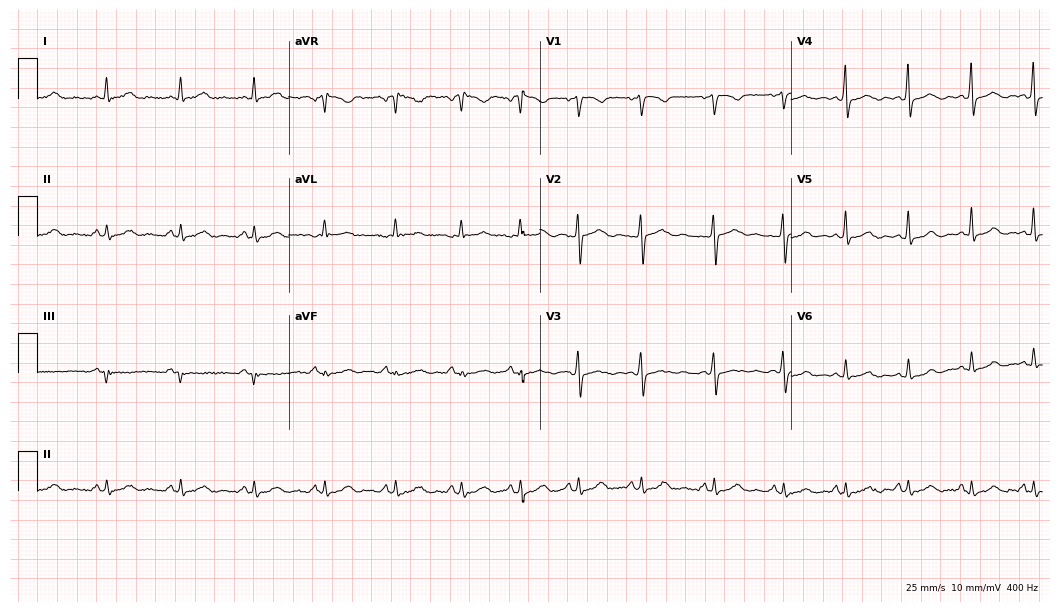
12-lead ECG from a female patient, 33 years old (10.2-second recording at 400 Hz). Recorded interpretation: within normal limits.